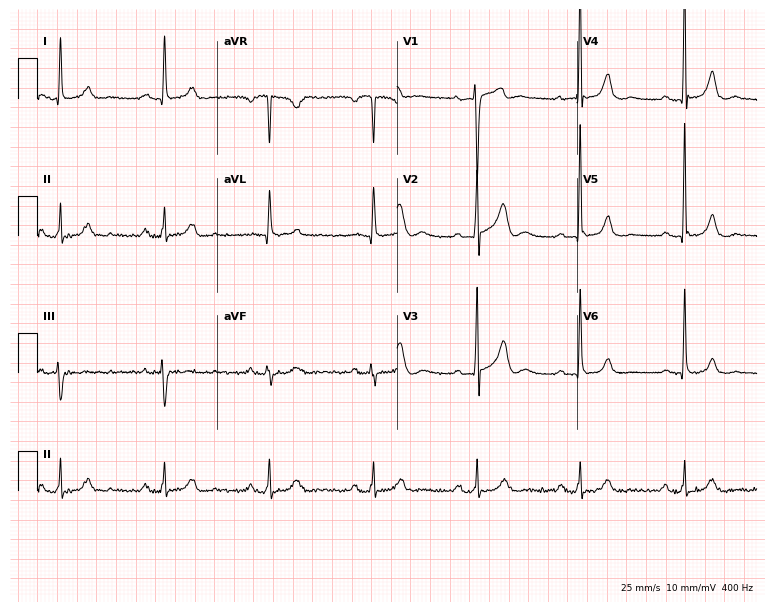
Resting 12-lead electrocardiogram (7.3-second recording at 400 Hz). Patient: a man, 50 years old. None of these six findings is recorded: first-degree AV block, right bundle branch block, left bundle branch block, sinus bradycardia, atrial fibrillation, sinus tachycardia. Only these six findings were labelled.